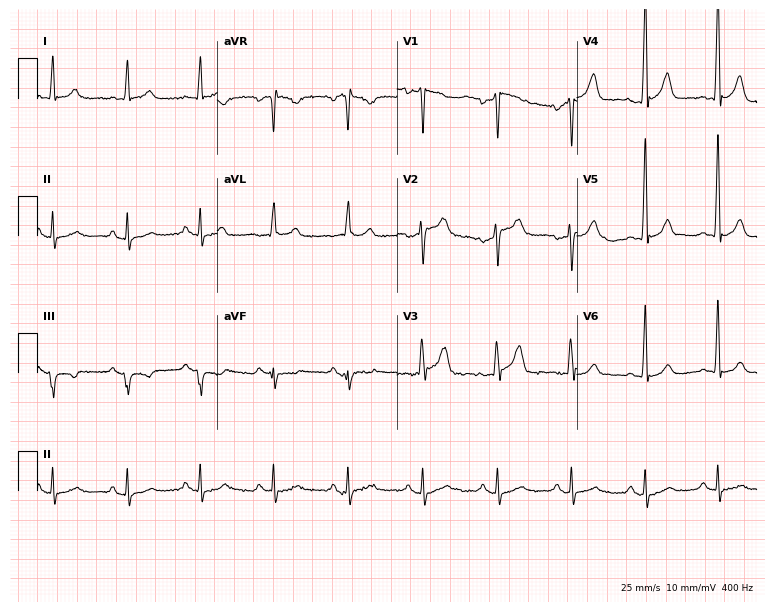
Electrocardiogram (7.3-second recording at 400 Hz), a man, 53 years old. Overall reading on record: normal ECG.